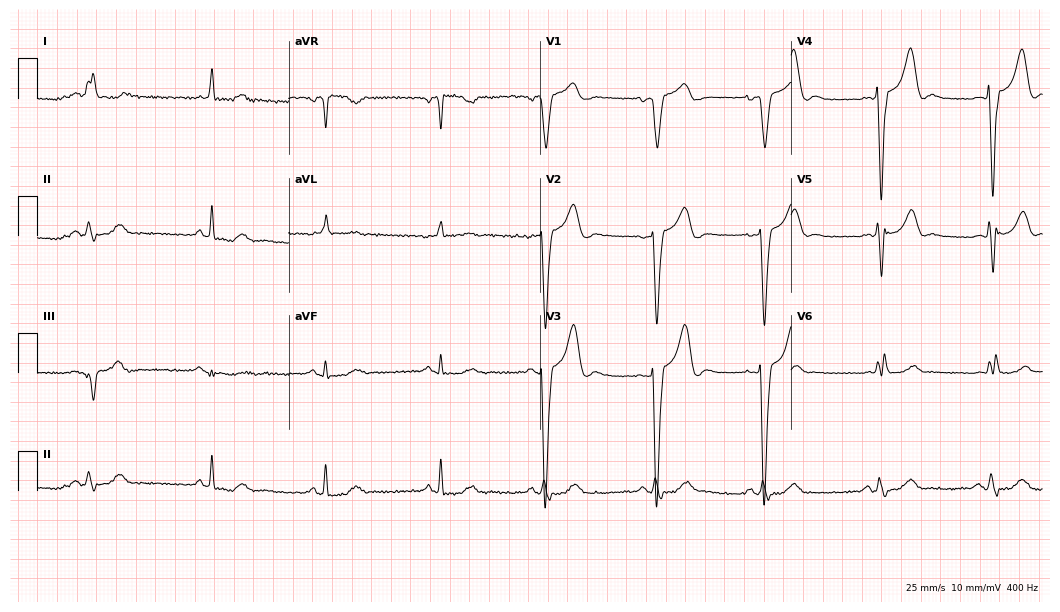
Resting 12-lead electrocardiogram (10.2-second recording at 400 Hz). Patient: a 76-year-old woman. None of these six findings is recorded: first-degree AV block, right bundle branch block (RBBB), left bundle branch block (LBBB), sinus bradycardia, atrial fibrillation (AF), sinus tachycardia. Only these six findings were labelled.